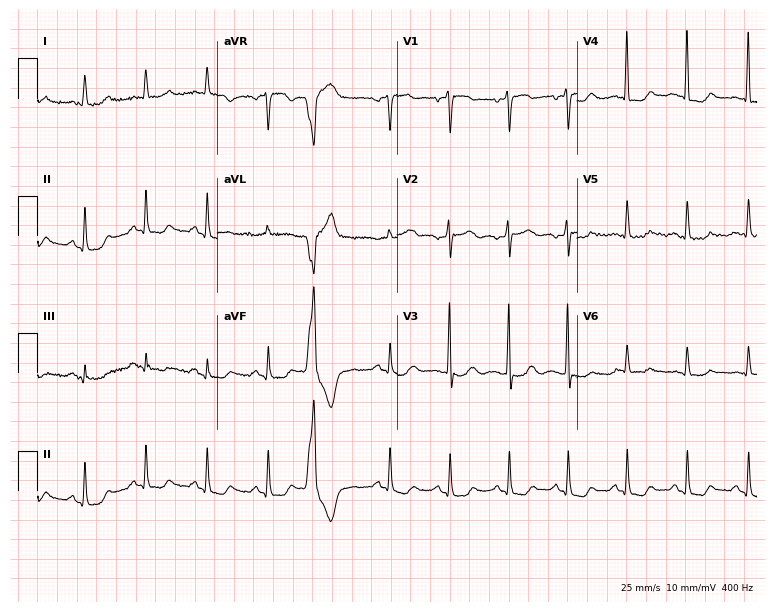
12-lead ECG from a 75-year-old female. Labelled as a normal ECG.